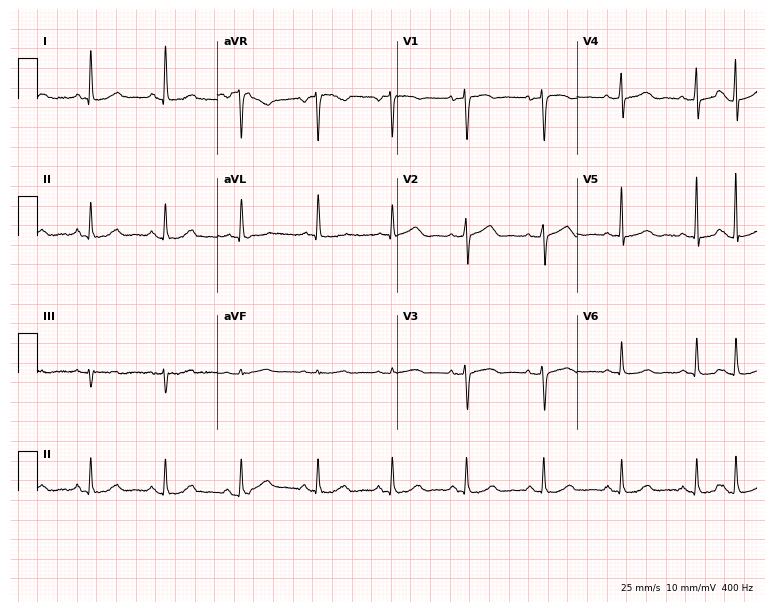
12-lead ECG (7.3-second recording at 400 Hz) from a female, 66 years old. Screened for six findings — first-degree AV block, right bundle branch block, left bundle branch block, sinus bradycardia, atrial fibrillation, sinus tachycardia — none is recorded.